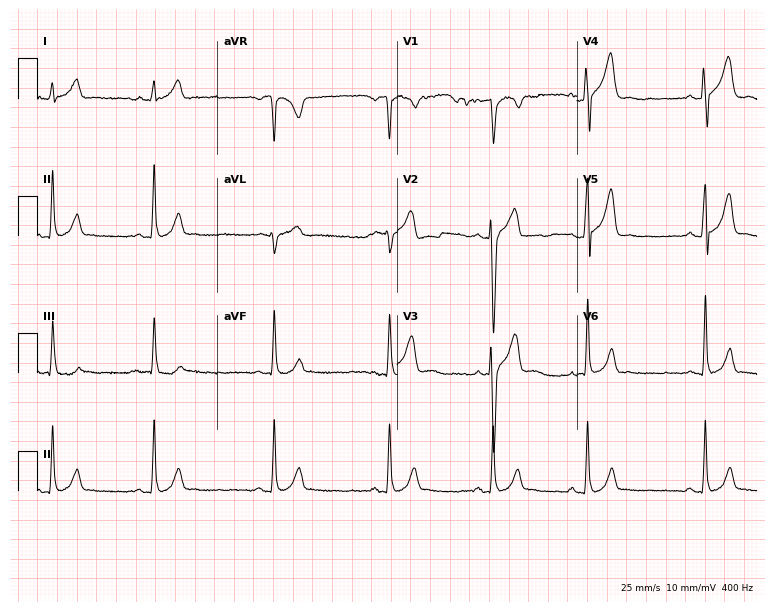
Resting 12-lead electrocardiogram (7.3-second recording at 400 Hz). Patient: a man, 20 years old. Read as a normal ECG.